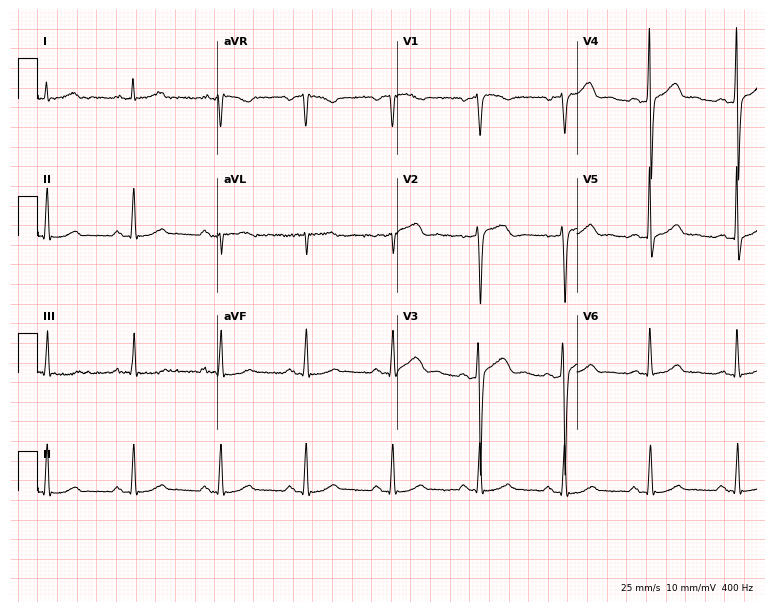
ECG (7.3-second recording at 400 Hz) — a male, 56 years old. Screened for six findings — first-degree AV block, right bundle branch block, left bundle branch block, sinus bradycardia, atrial fibrillation, sinus tachycardia — none is recorded.